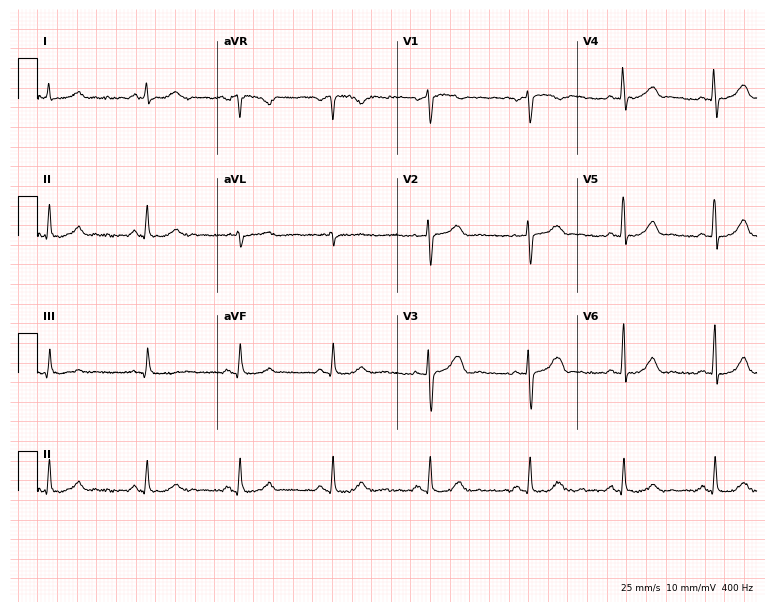
Standard 12-lead ECG recorded from a female patient, 46 years old. Read as a normal ECG.